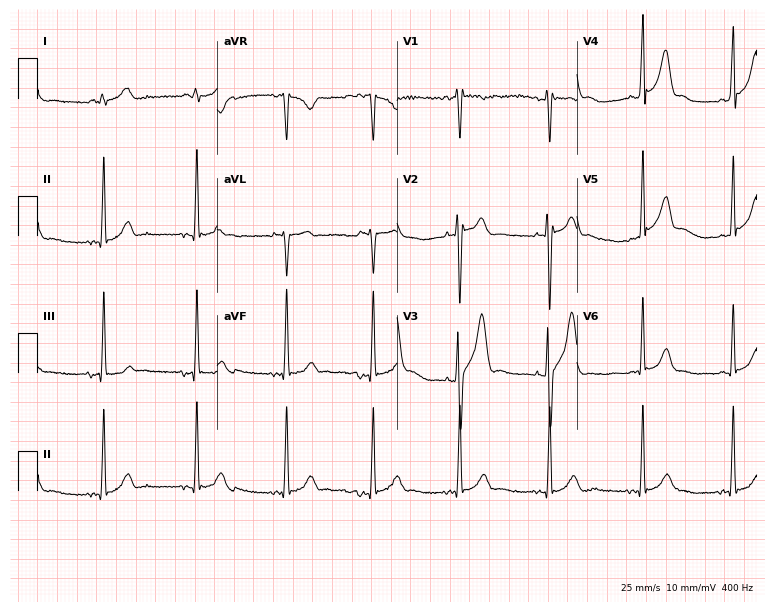
Standard 12-lead ECG recorded from a 26-year-old male patient (7.3-second recording at 400 Hz). Read as a normal ECG.